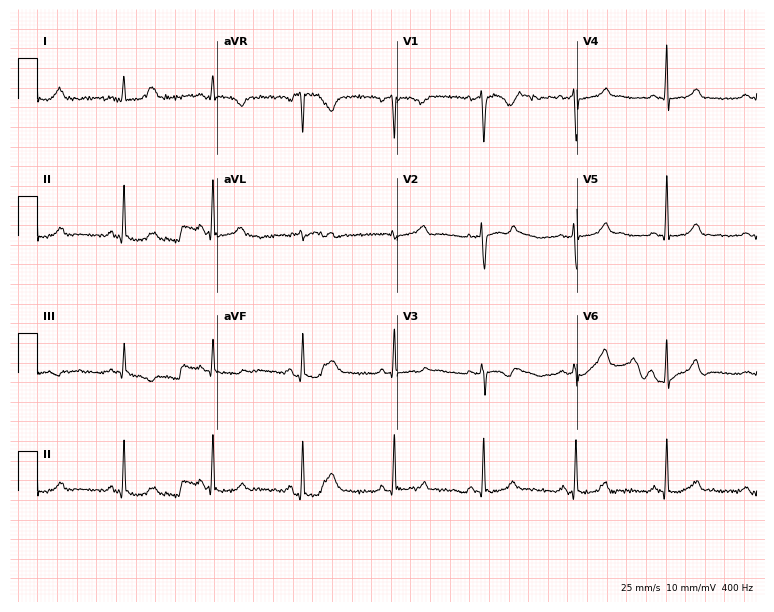
ECG — a female patient, 40 years old. Labelled as a normal ECG.